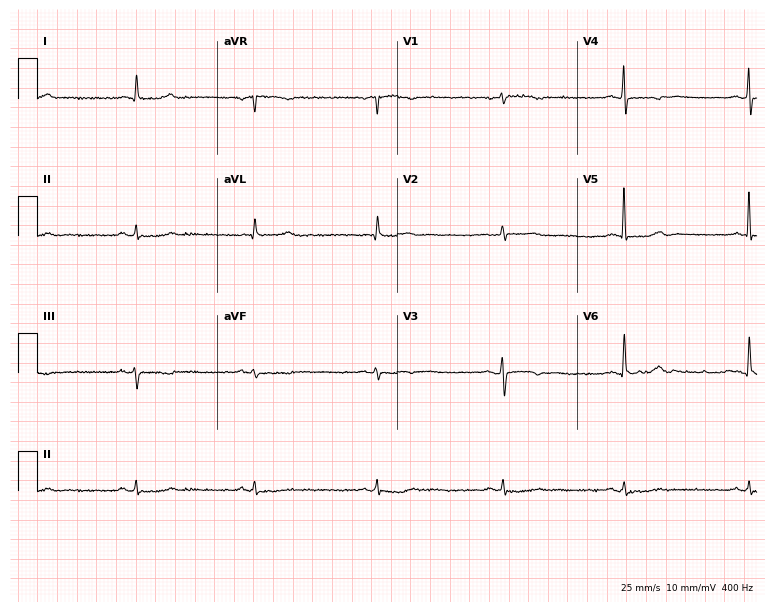
12-lead ECG from a woman, 69 years old (7.3-second recording at 400 Hz). Shows sinus bradycardia (a sinus rate of 50 beats per minute or less).